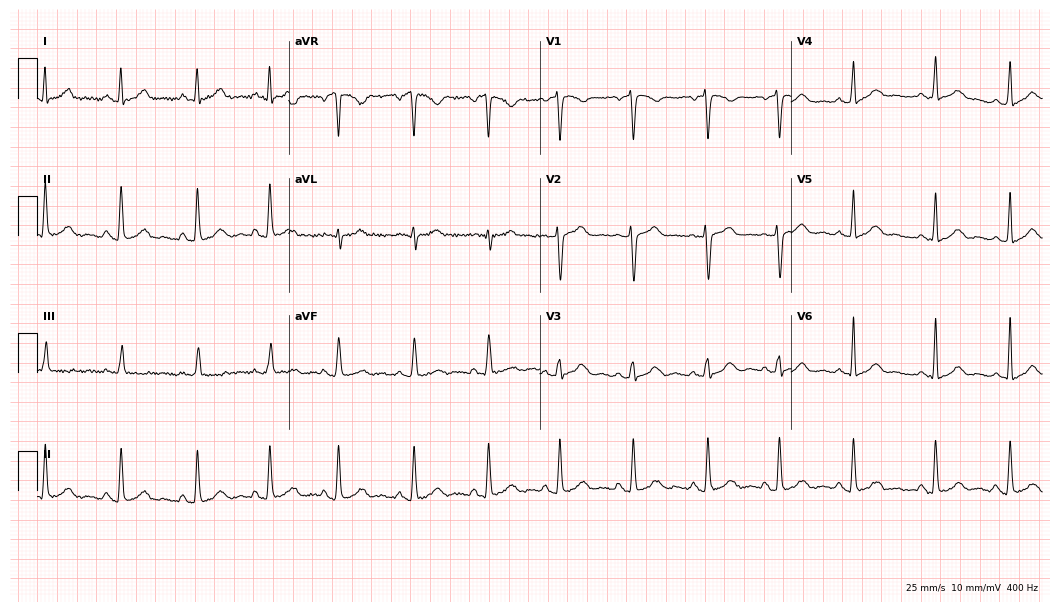
12-lead ECG (10.2-second recording at 400 Hz) from a 30-year-old female patient. Labelled as a normal ECG.